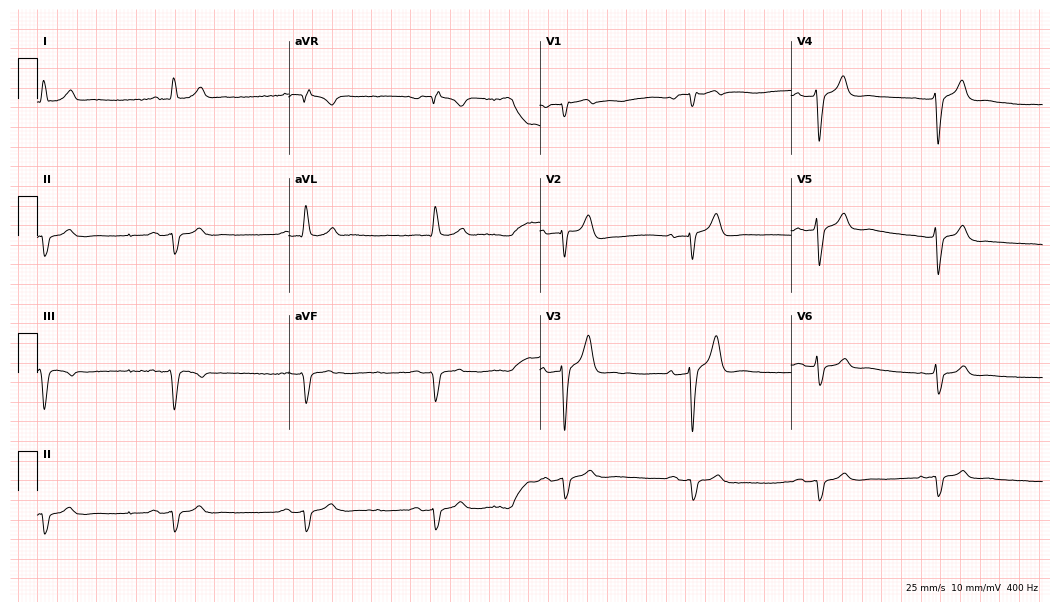
12-lead ECG (10.2-second recording at 400 Hz) from a male, 82 years old. Screened for six findings — first-degree AV block, right bundle branch block, left bundle branch block, sinus bradycardia, atrial fibrillation, sinus tachycardia — none is recorded.